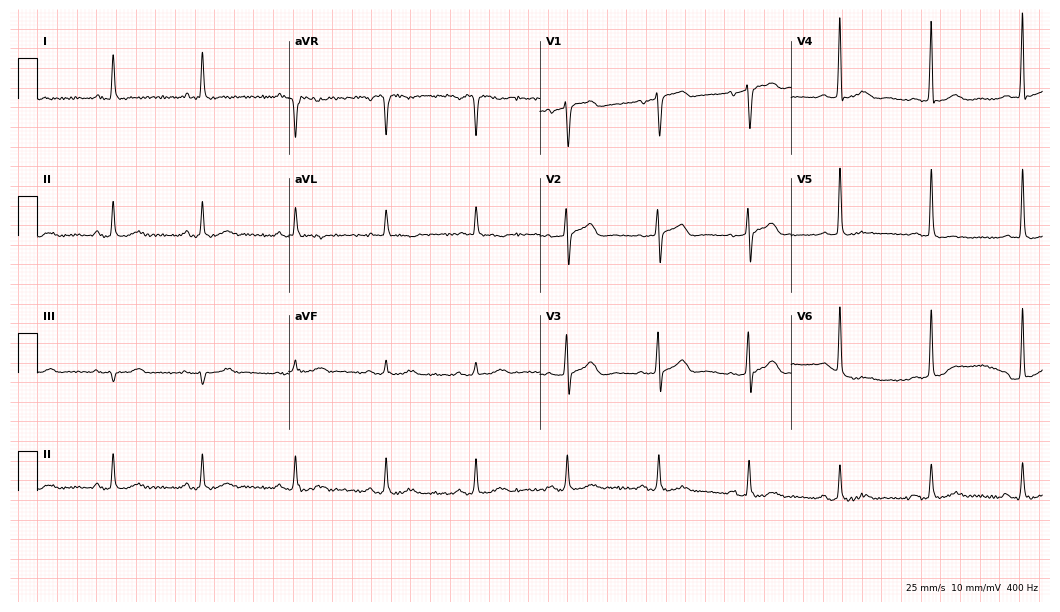
Resting 12-lead electrocardiogram. Patient: a male, 78 years old. Read as a normal ECG.